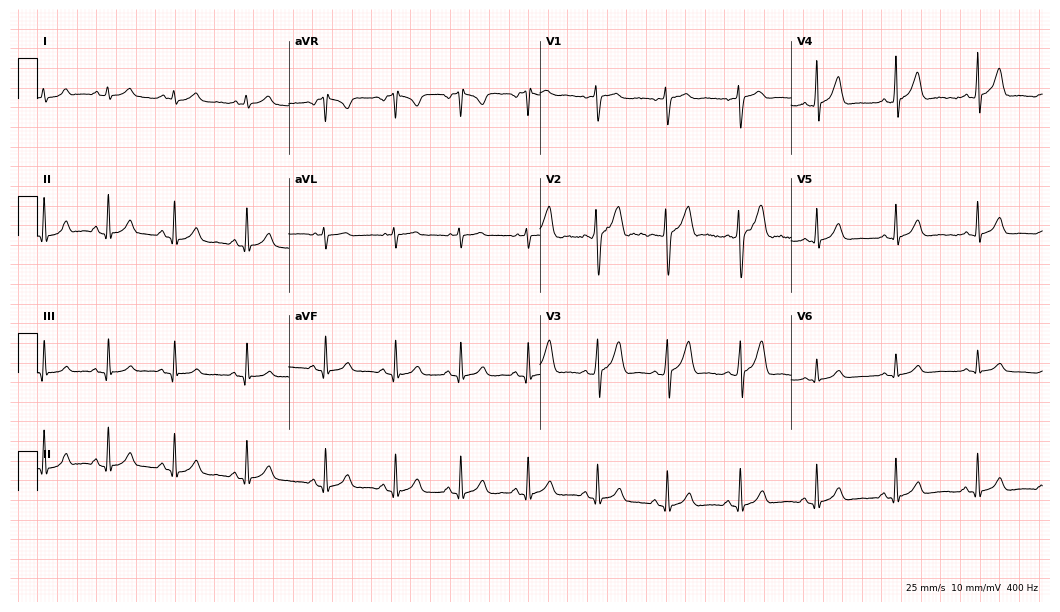
Resting 12-lead electrocardiogram (10.2-second recording at 400 Hz). Patient: a 28-year-old male. None of these six findings is recorded: first-degree AV block, right bundle branch block, left bundle branch block, sinus bradycardia, atrial fibrillation, sinus tachycardia.